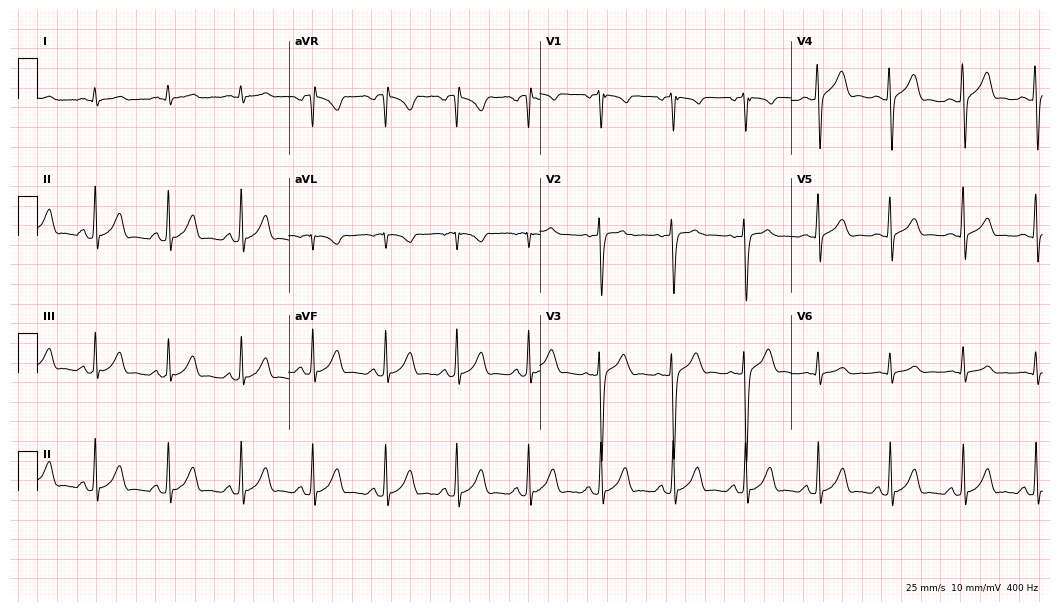
ECG (10.2-second recording at 400 Hz) — a male patient, 23 years old. Screened for six findings — first-degree AV block, right bundle branch block, left bundle branch block, sinus bradycardia, atrial fibrillation, sinus tachycardia — none is recorded. Other findings, if any, are not listed.